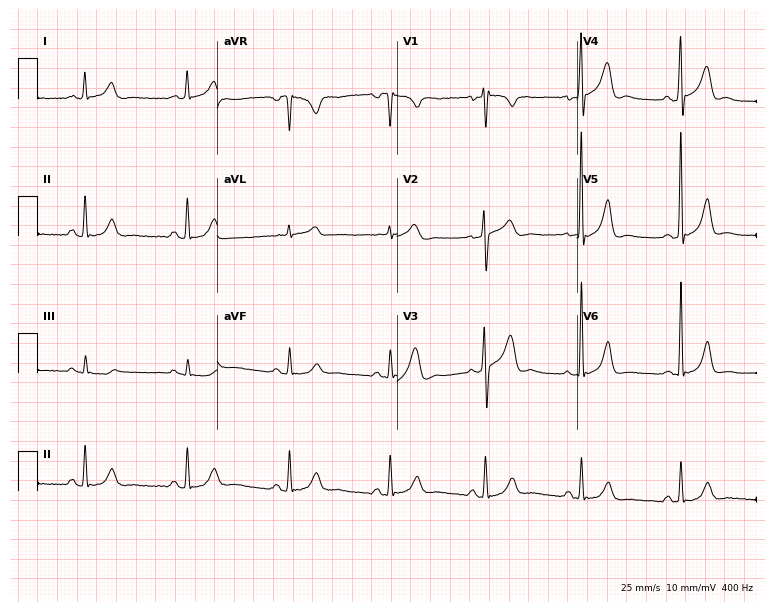
Standard 12-lead ECG recorded from a man, 37 years old. None of these six findings is recorded: first-degree AV block, right bundle branch block, left bundle branch block, sinus bradycardia, atrial fibrillation, sinus tachycardia.